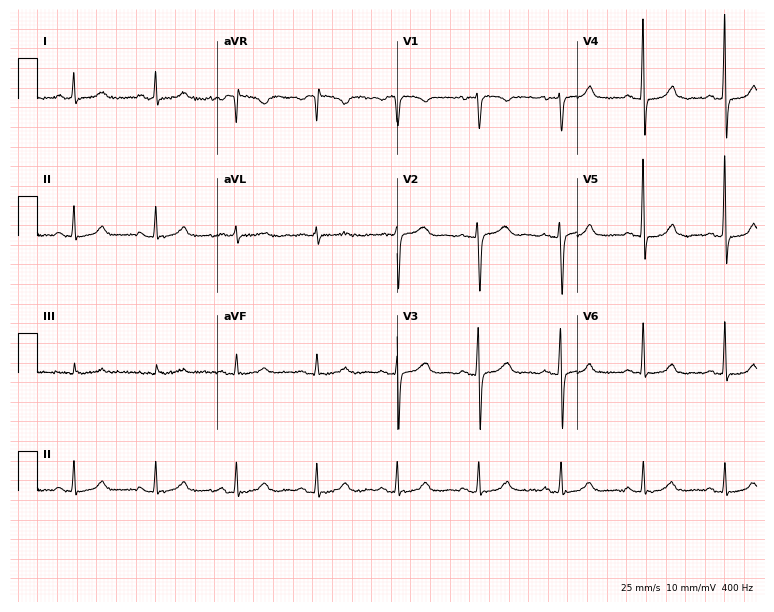
Resting 12-lead electrocardiogram. Patient: a female, 65 years old. Read as a normal ECG.